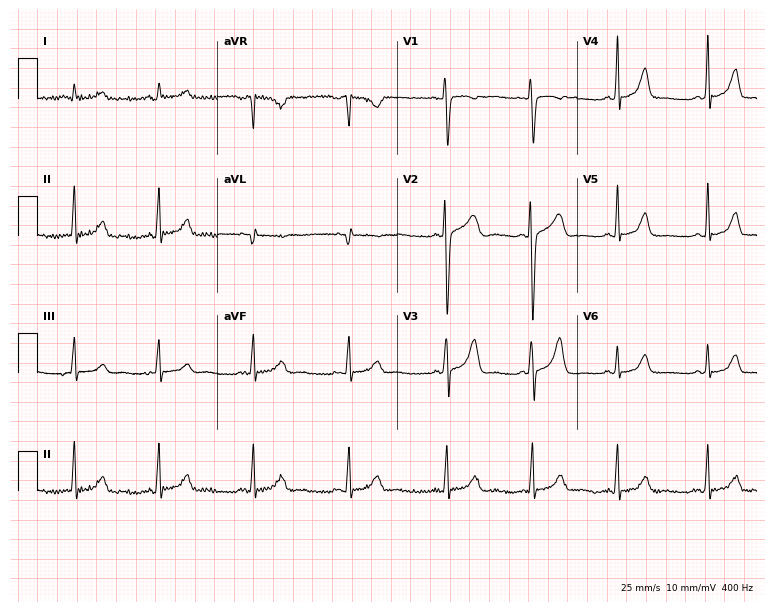
12-lead ECG from a 39-year-old woman (7.3-second recording at 400 Hz). No first-degree AV block, right bundle branch block, left bundle branch block, sinus bradycardia, atrial fibrillation or sinus tachycardia recorded for this tracing. Findings outside these six are not listed.